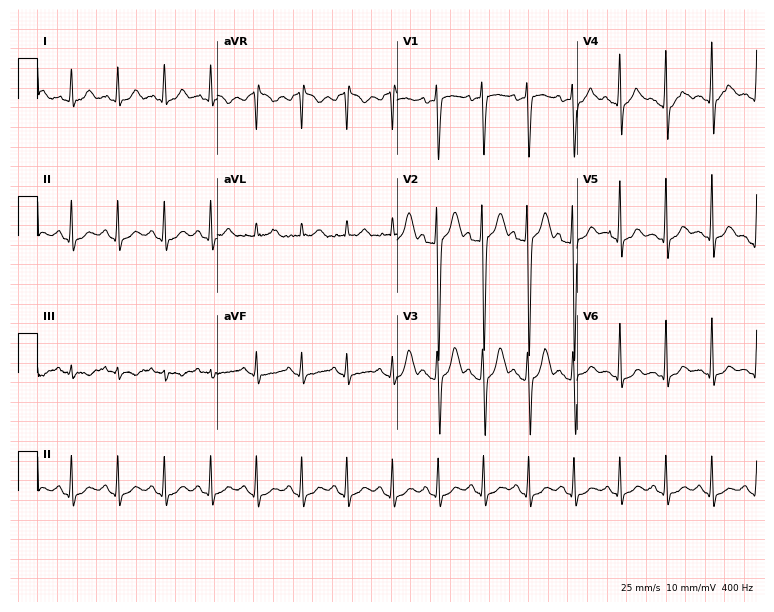
ECG (7.3-second recording at 400 Hz) — a male, 18 years old. Findings include sinus tachycardia (a sinus rate of 100 beats per minute or more).